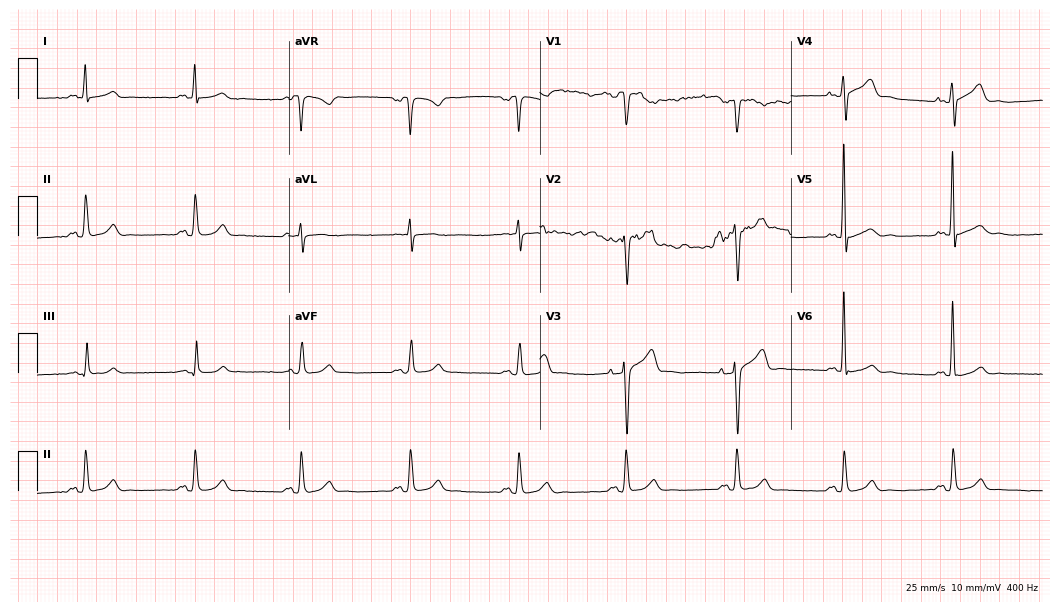
ECG (10.2-second recording at 400 Hz) — a male, 66 years old. Screened for six findings — first-degree AV block, right bundle branch block (RBBB), left bundle branch block (LBBB), sinus bradycardia, atrial fibrillation (AF), sinus tachycardia — none is recorded. Findings outside these six are not listed.